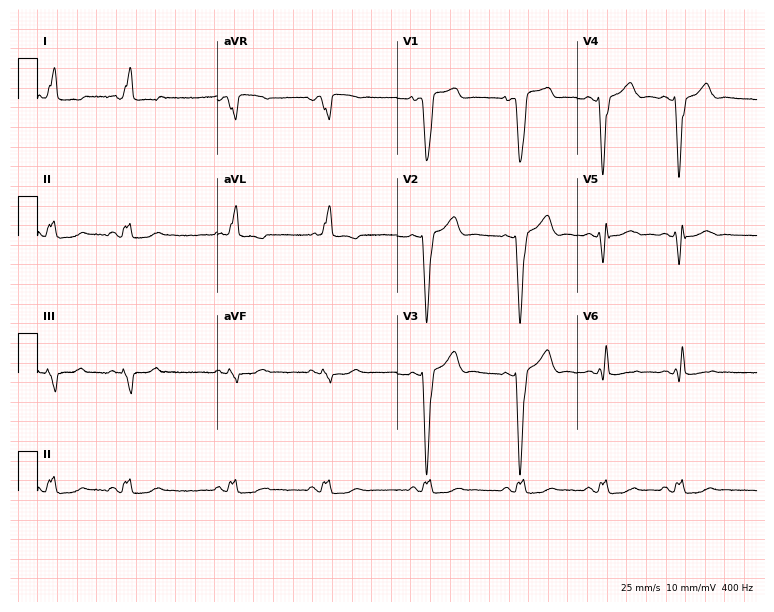
12-lead ECG from a 30-year-old female patient (7.3-second recording at 400 Hz). No first-degree AV block, right bundle branch block, left bundle branch block, sinus bradycardia, atrial fibrillation or sinus tachycardia recorded for this tracing. Only these six findings were labelled.